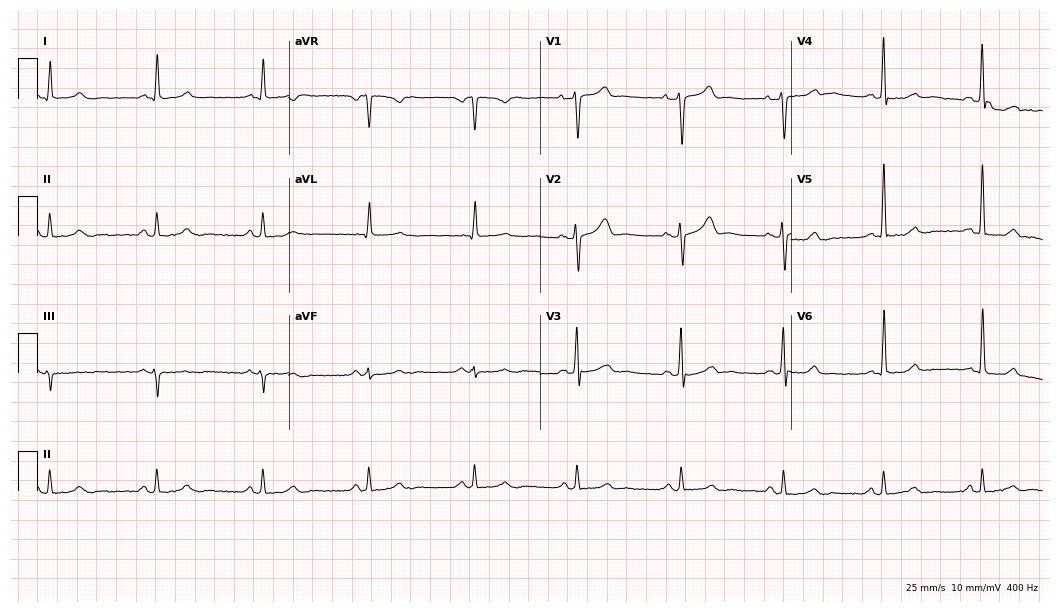
Standard 12-lead ECG recorded from a 58-year-old man. None of these six findings is recorded: first-degree AV block, right bundle branch block, left bundle branch block, sinus bradycardia, atrial fibrillation, sinus tachycardia.